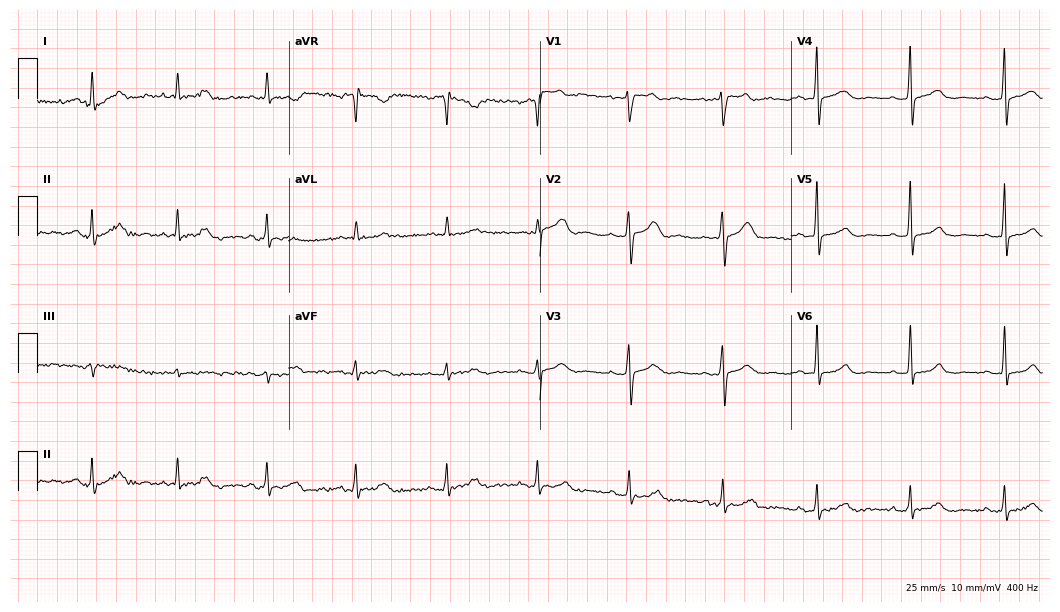
Standard 12-lead ECG recorded from a 54-year-old woman (10.2-second recording at 400 Hz). Read as a normal ECG.